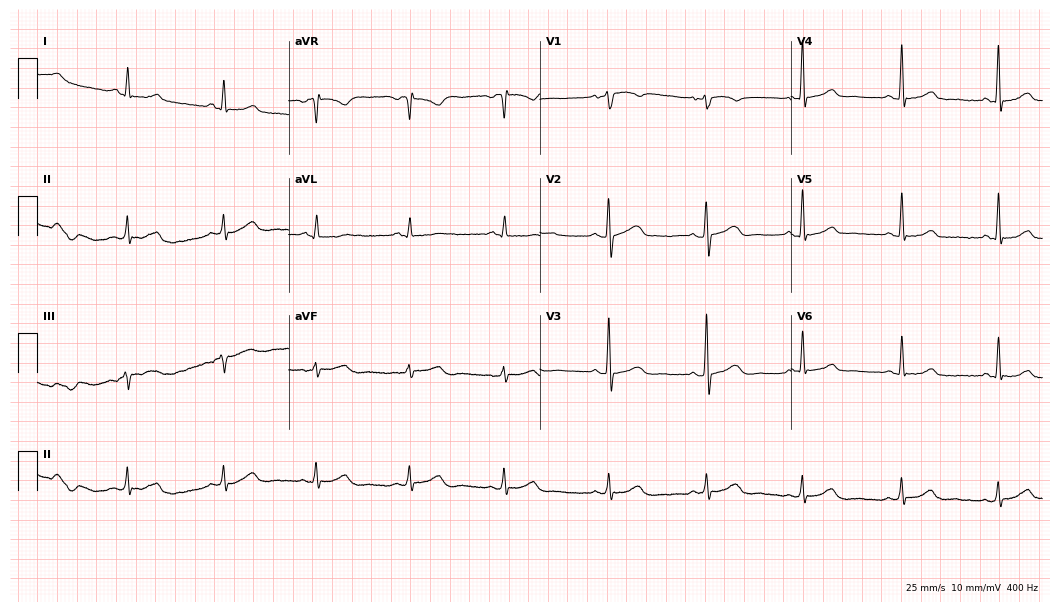
12-lead ECG (10.2-second recording at 400 Hz) from a male patient, 53 years old. Labelled as a normal ECG.